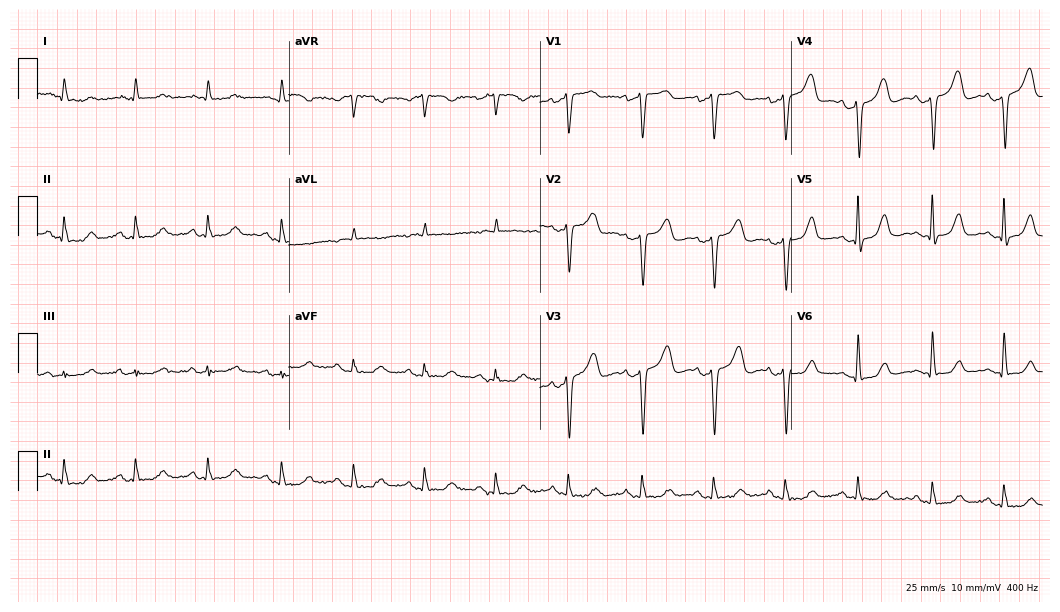
Electrocardiogram, an 82-year-old female patient. Of the six screened findings (first-degree AV block, right bundle branch block, left bundle branch block, sinus bradycardia, atrial fibrillation, sinus tachycardia), none is recorded.